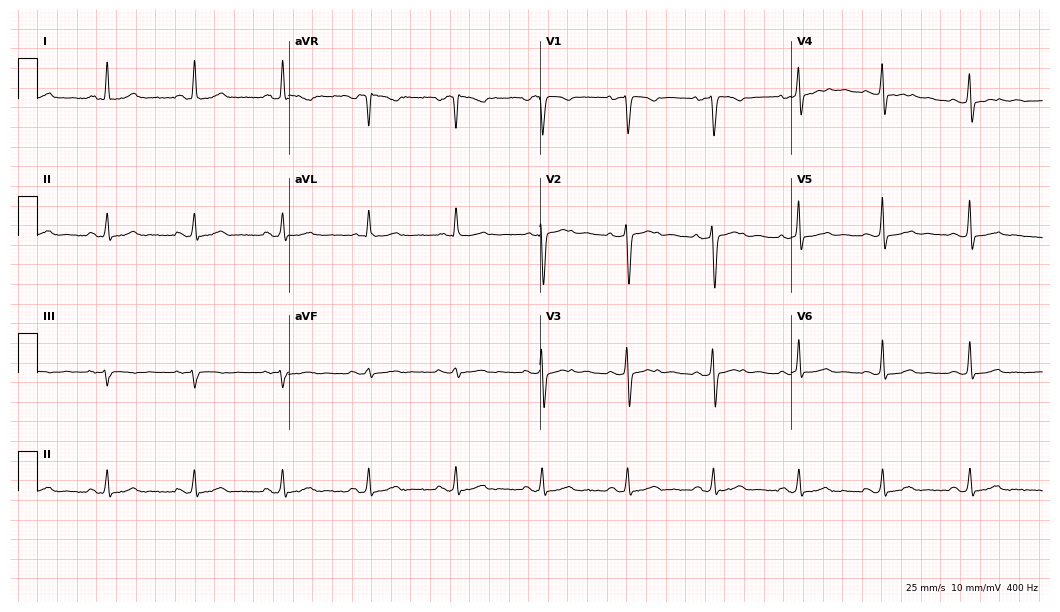
12-lead ECG from a woman, 35 years old. No first-degree AV block, right bundle branch block, left bundle branch block, sinus bradycardia, atrial fibrillation or sinus tachycardia recorded for this tracing. Only these six findings were labelled.